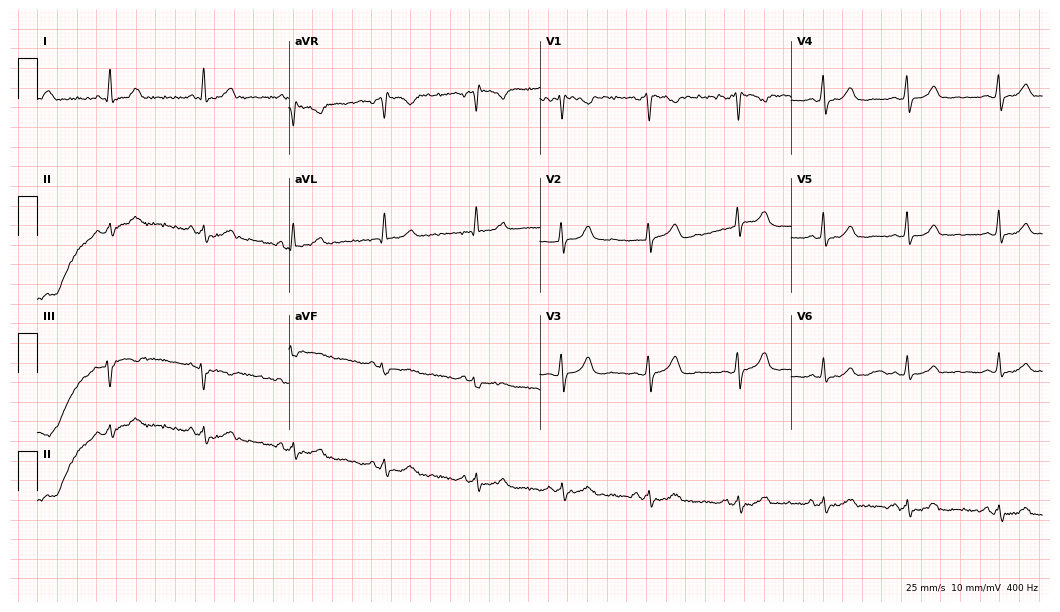
12-lead ECG from a female patient, 42 years old (10.2-second recording at 400 Hz). No first-degree AV block, right bundle branch block, left bundle branch block, sinus bradycardia, atrial fibrillation or sinus tachycardia recorded for this tracing.